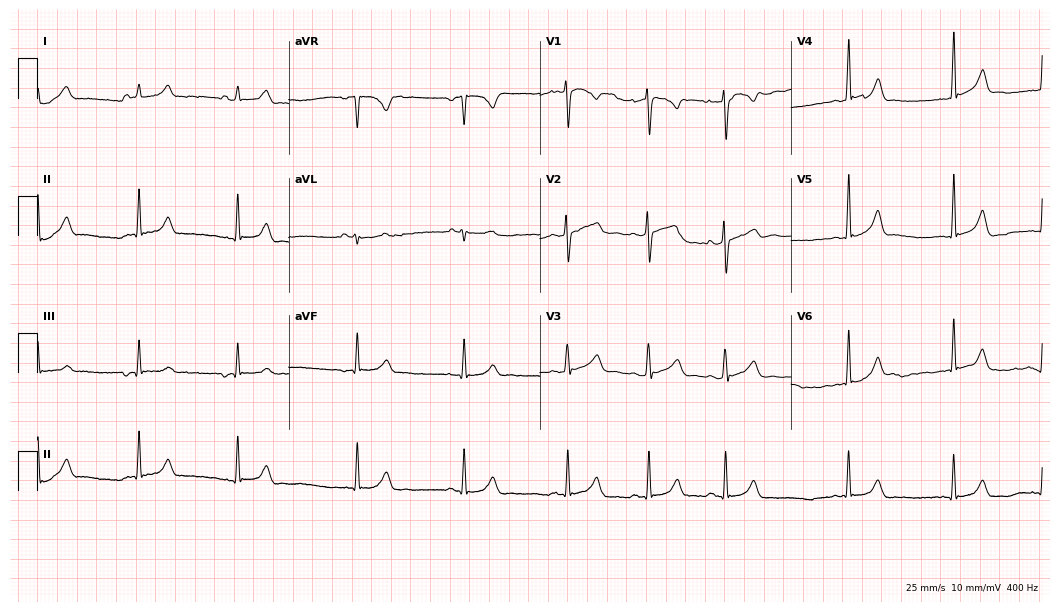
ECG — a 19-year-old female. Labelled as a normal ECG.